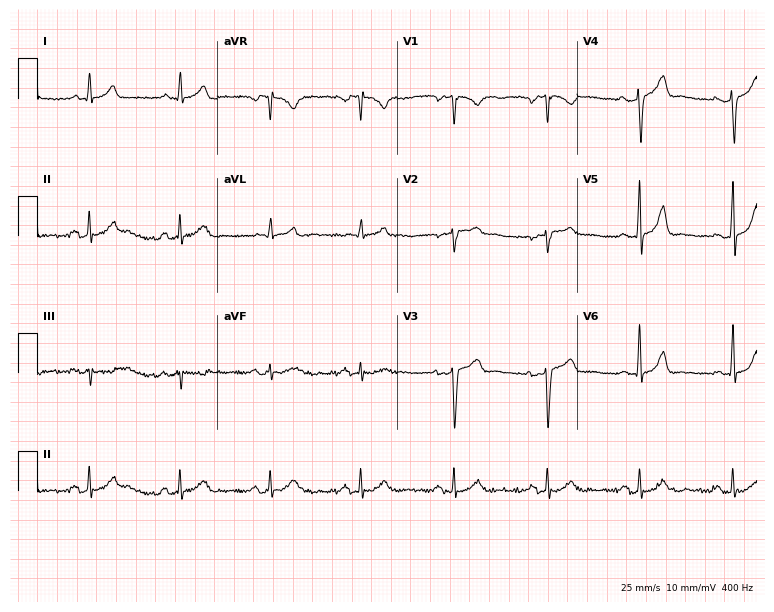
Standard 12-lead ECG recorded from a 27-year-old man. Read as a normal ECG.